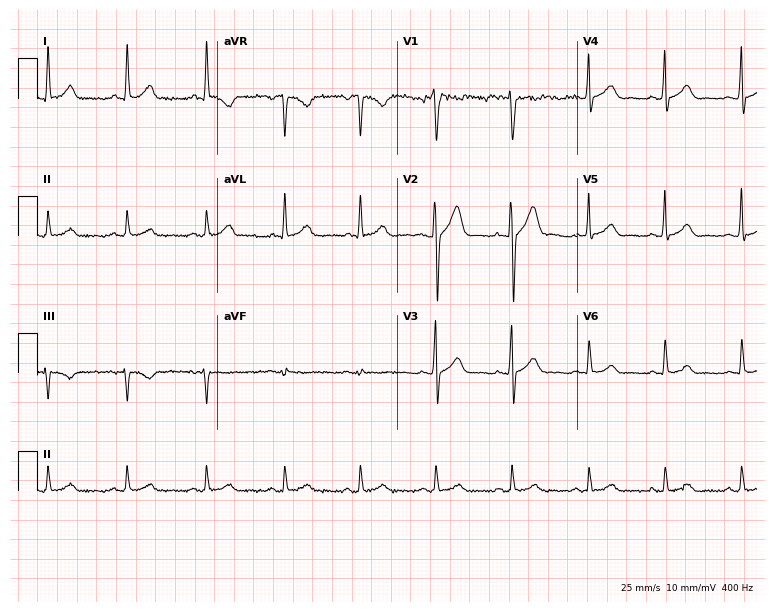
Resting 12-lead electrocardiogram (7.3-second recording at 400 Hz). Patient: a 35-year-old man. Read as a normal ECG.